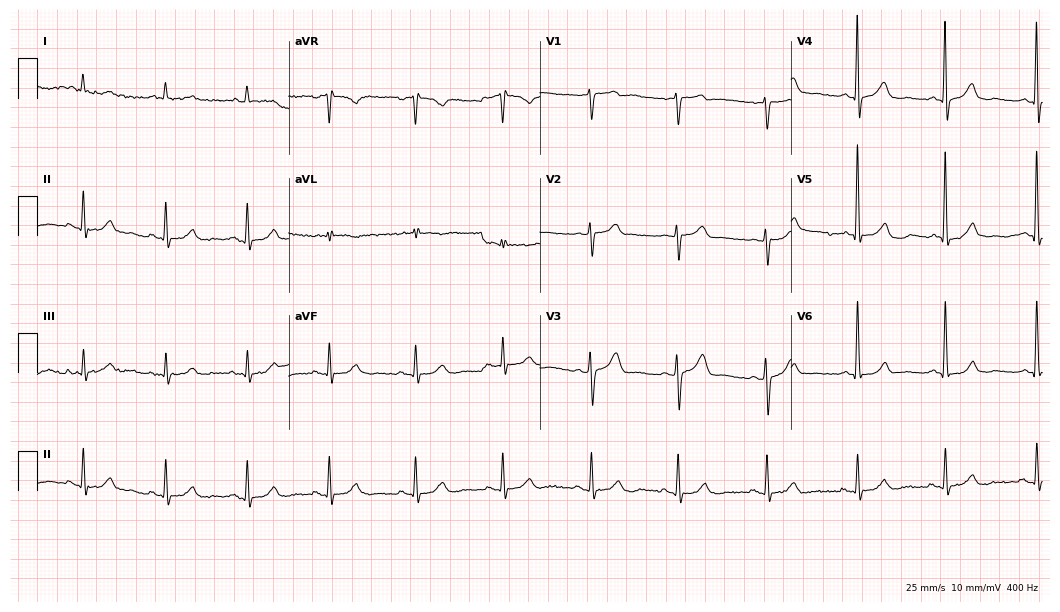
Electrocardiogram, a 62-year-old male. Overall reading on record: normal ECG.